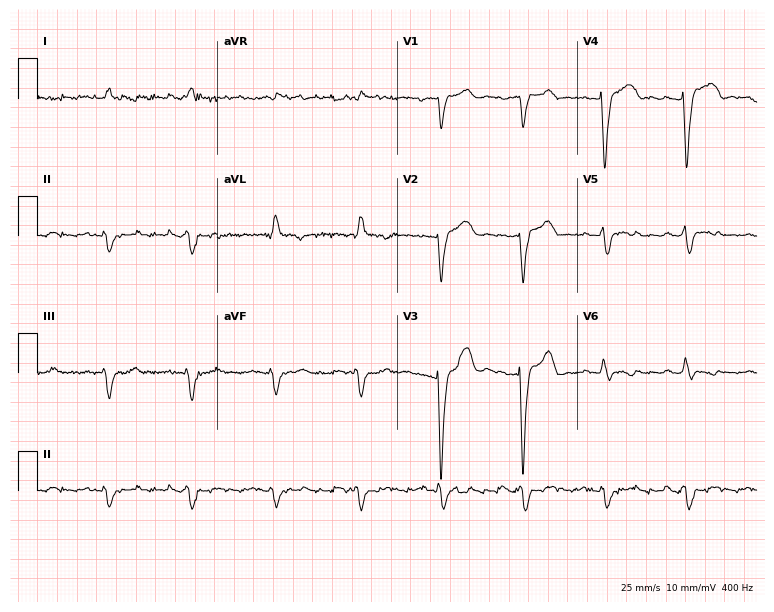
Resting 12-lead electrocardiogram (7.3-second recording at 400 Hz). Patient: a 62-year-old male. The tracing shows left bundle branch block.